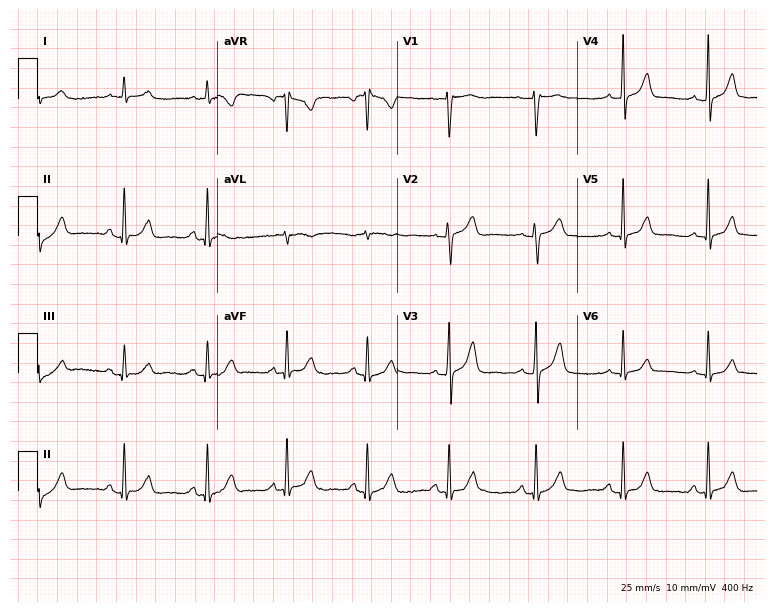
12-lead ECG (7.3-second recording at 400 Hz) from a 68-year-old man. Labelled as a normal ECG.